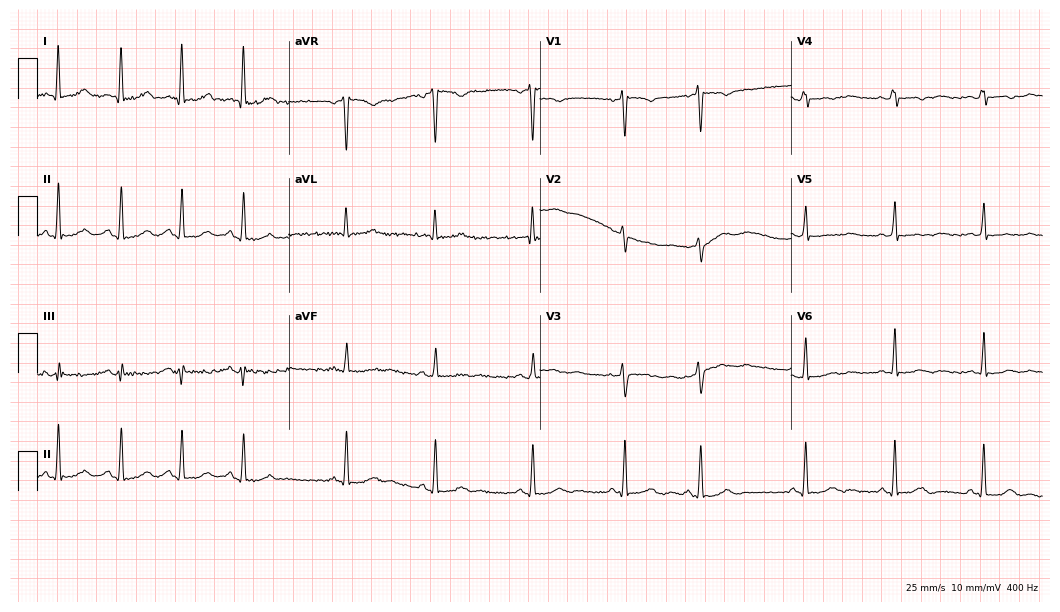
Electrocardiogram (10.2-second recording at 400 Hz), a 42-year-old female patient. Of the six screened findings (first-degree AV block, right bundle branch block, left bundle branch block, sinus bradycardia, atrial fibrillation, sinus tachycardia), none is recorded. Other findings, if any, are not listed.